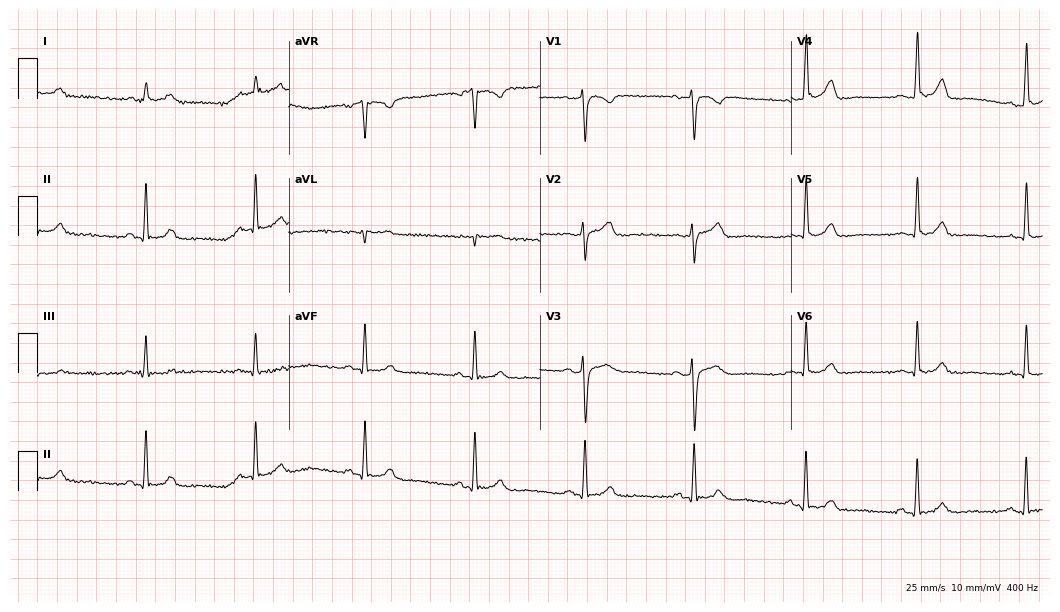
Resting 12-lead electrocardiogram (10.2-second recording at 400 Hz). Patient: a male, 57 years old. Read as a normal ECG.